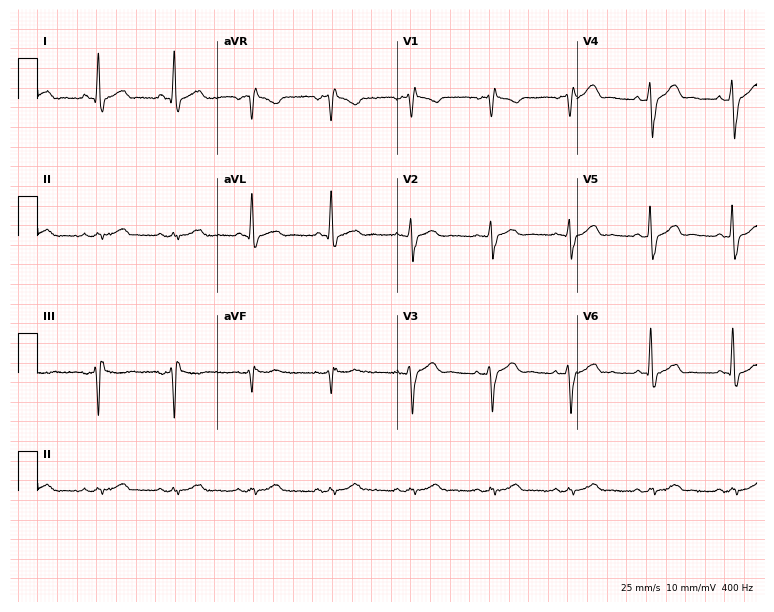
ECG — a man, 66 years old. Screened for six findings — first-degree AV block, right bundle branch block, left bundle branch block, sinus bradycardia, atrial fibrillation, sinus tachycardia — none is recorded. Other findings, if any, are not listed.